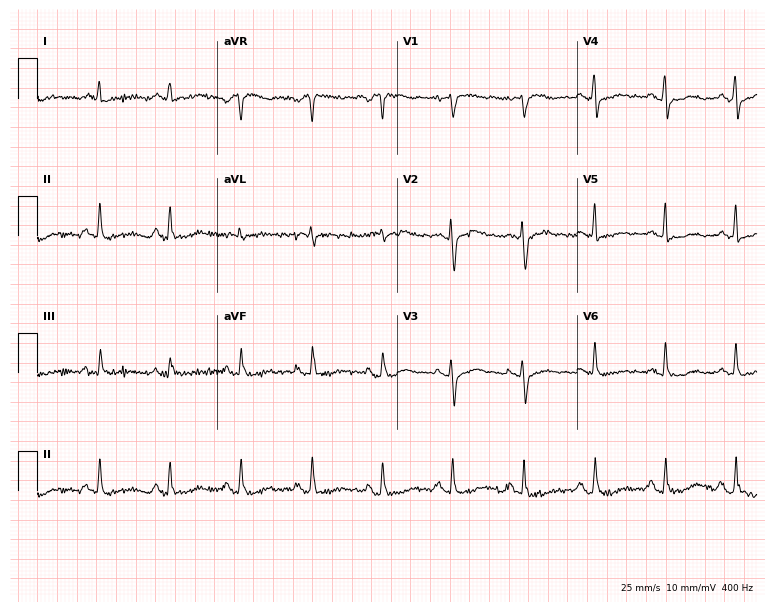
12-lead ECG from a 63-year-old woman. No first-degree AV block, right bundle branch block, left bundle branch block, sinus bradycardia, atrial fibrillation or sinus tachycardia recorded for this tracing.